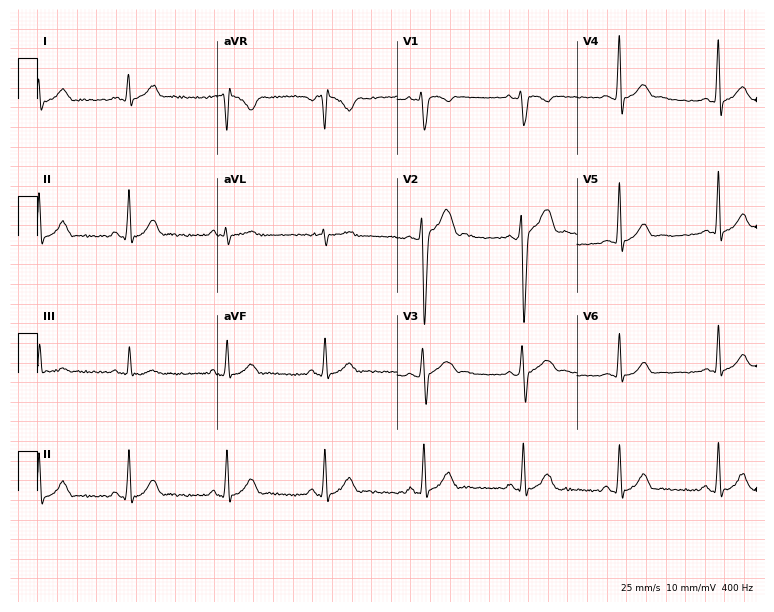
Electrocardiogram, a male patient, 26 years old. Of the six screened findings (first-degree AV block, right bundle branch block, left bundle branch block, sinus bradycardia, atrial fibrillation, sinus tachycardia), none is recorded.